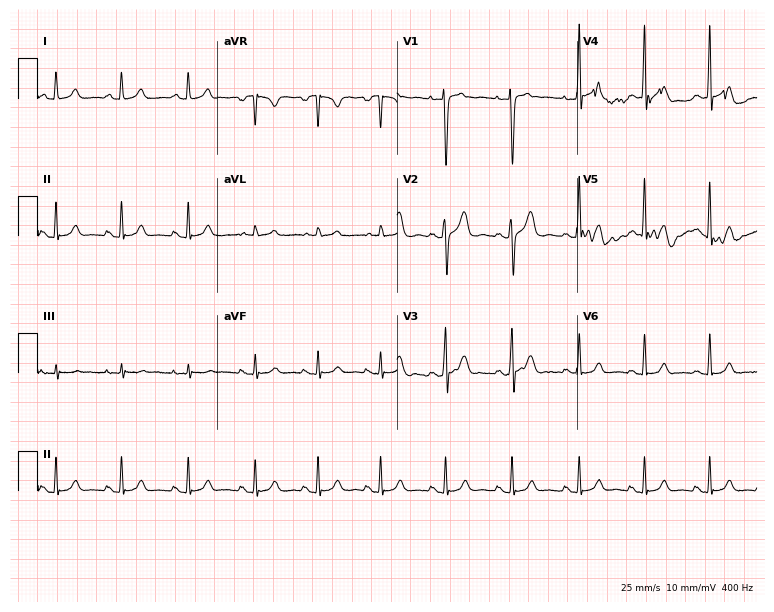
Electrocardiogram (7.3-second recording at 400 Hz), a female patient, 20 years old. Overall reading on record: normal ECG.